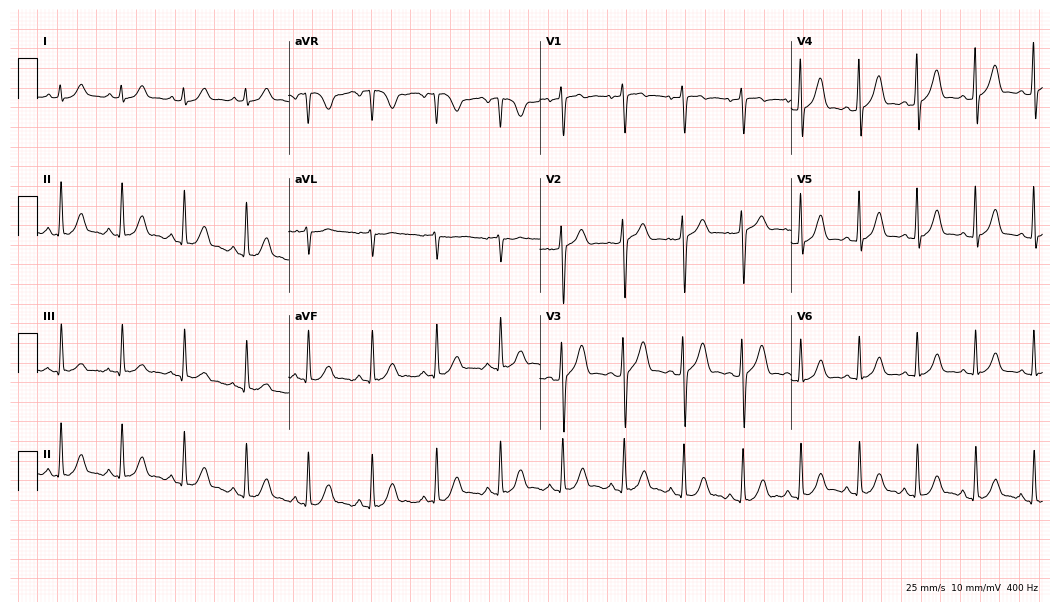
ECG — a male, 40 years old. Labelled as a normal ECG.